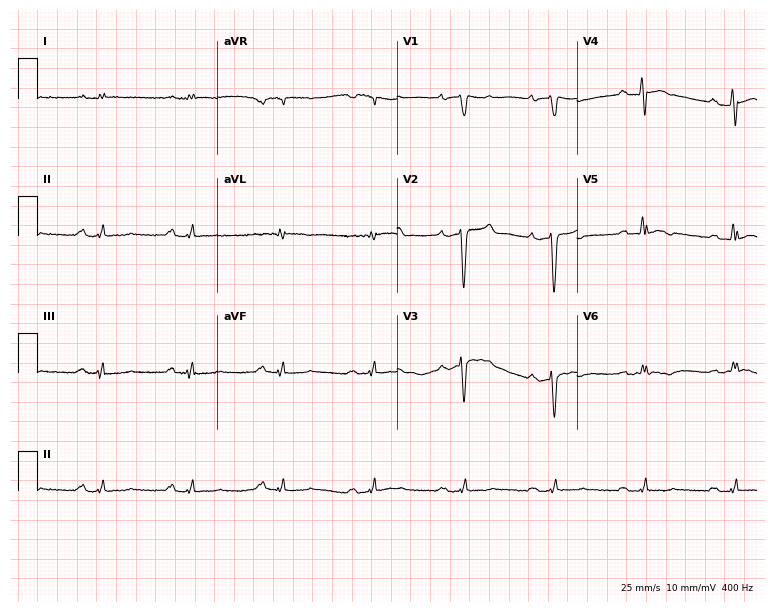
Electrocardiogram (7.3-second recording at 400 Hz), a 62-year-old man. Interpretation includes first-degree AV block.